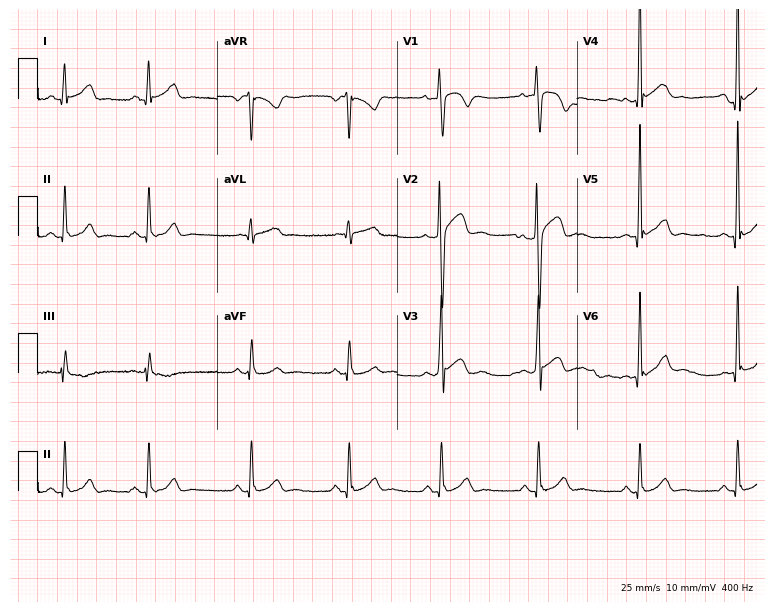
Electrocardiogram (7.3-second recording at 400 Hz), a male patient, 31 years old. Of the six screened findings (first-degree AV block, right bundle branch block (RBBB), left bundle branch block (LBBB), sinus bradycardia, atrial fibrillation (AF), sinus tachycardia), none is recorded. Other findings, if any, are not listed.